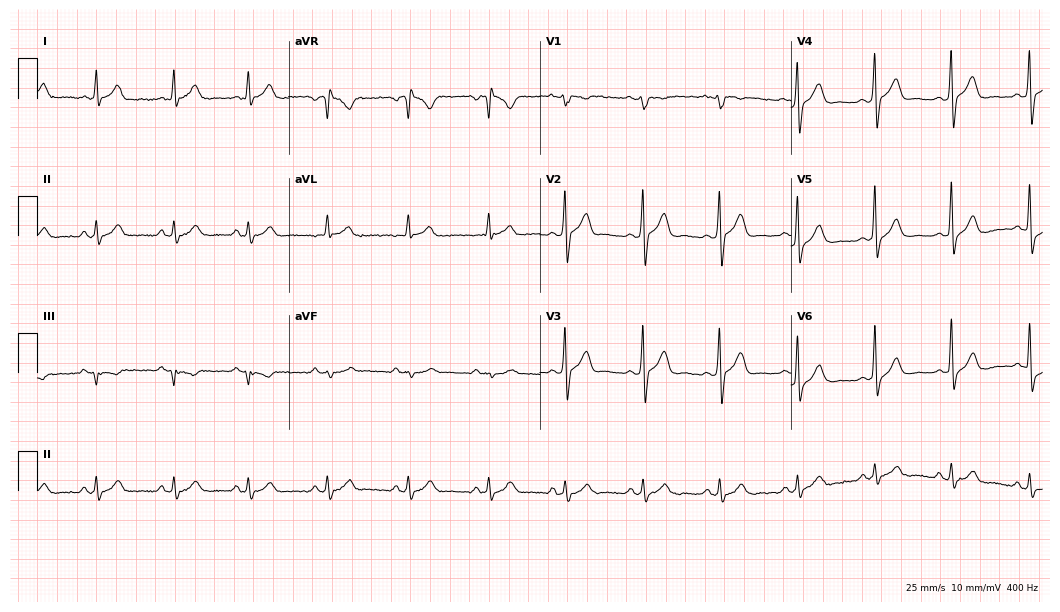
Electrocardiogram, a man, 39 years old. Overall reading on record: normal ECG.